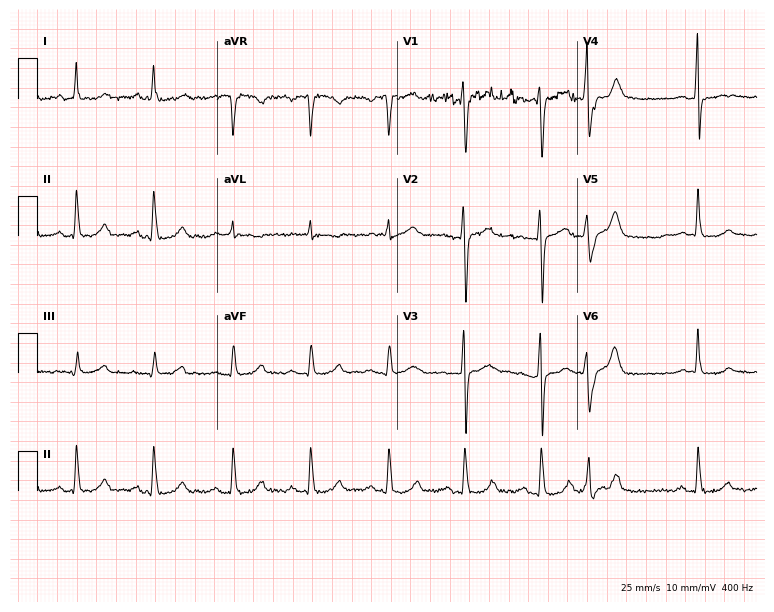
12-lead ECG (7.3-second recording at 400 Hz) from a 30-year-old female patient. Labelled as a normal ECG.